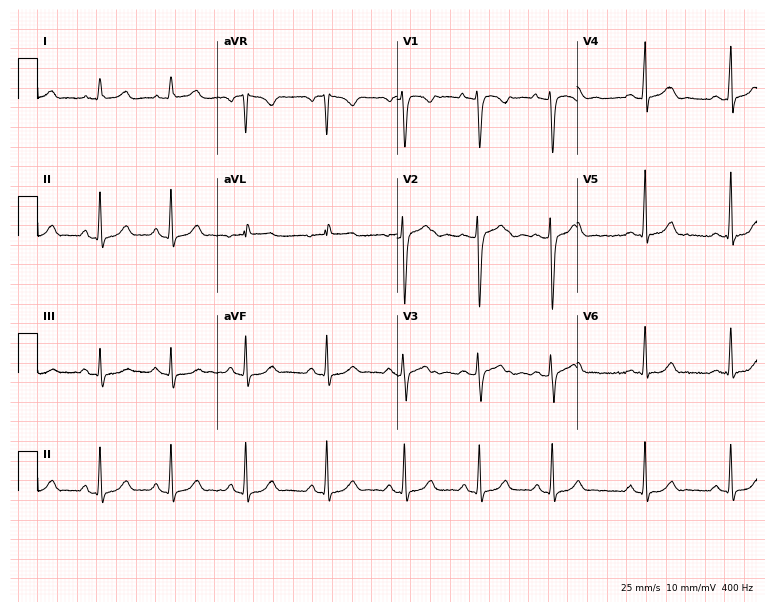
12-lead ECG from a female patient, 21 years old (7.3-second recording at 400 Hz). No first-degree AV block, right bundle branch block (RBBB), left bundle branch block (LBBB), sinus bradycardia, atrial fibrillation (AF) or sinus tachycardia recorded for this tracing. Findings outside these six are not listed.